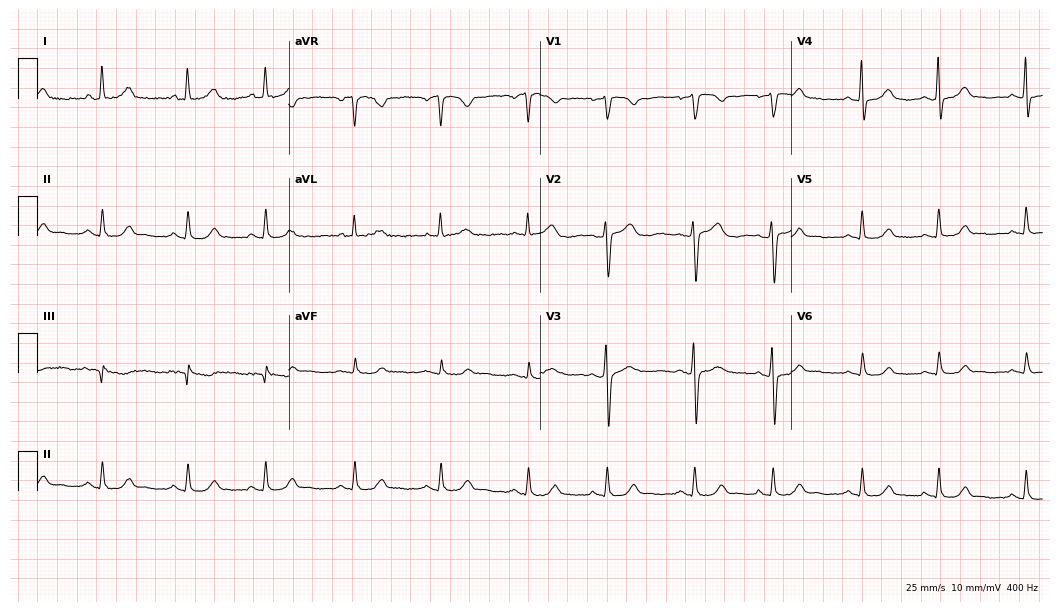
ECG (10.2-second recording at 400 Hz) — a 60-year-old female patient. Screened for six findings — first-degree AV block, right bundle branch block (RBBB), left bundle branch block (LBBB), sinus bradycardia, atrial fibrillation (AF), sinus tachycardia — none is recorded.